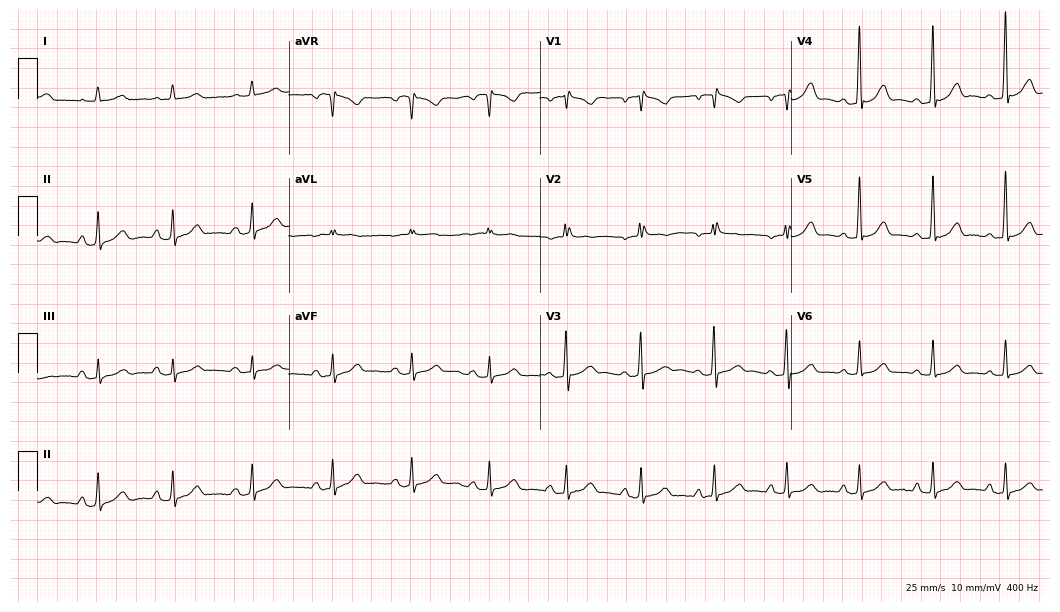
Standard 12-lead ECG recorded from a 51-year-old woman. None of these six findings is recorded: first-degree AV block, right bundle branch block, left bundle branch block, sinus bradycardia, atrial fibrillation, sinus tachycardia. Findings outside these six are not listed.